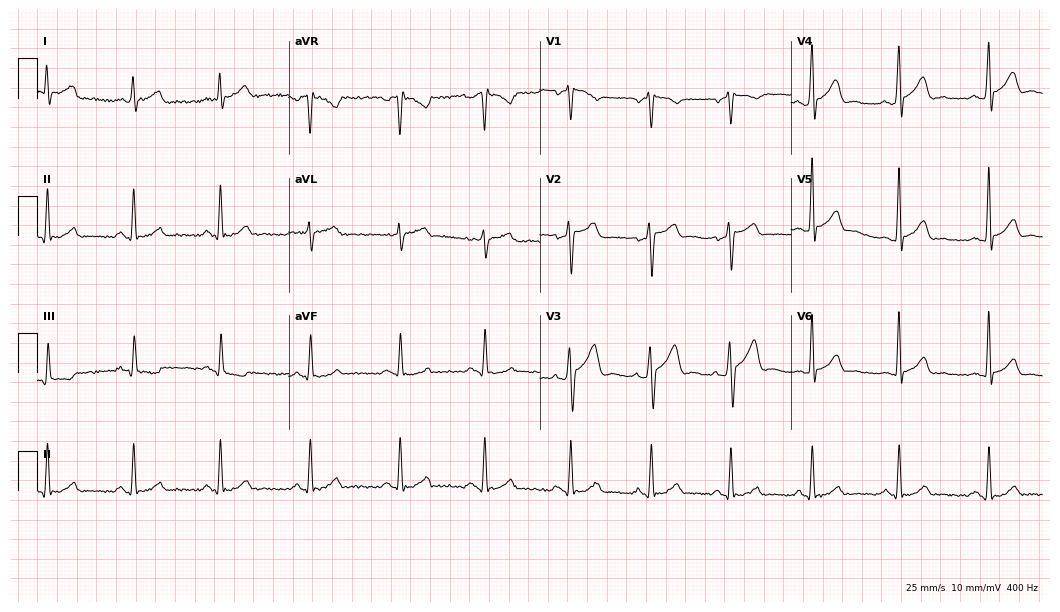
12-lead ECG from a 34-year-old male patient. Labelled as a normal ECG.